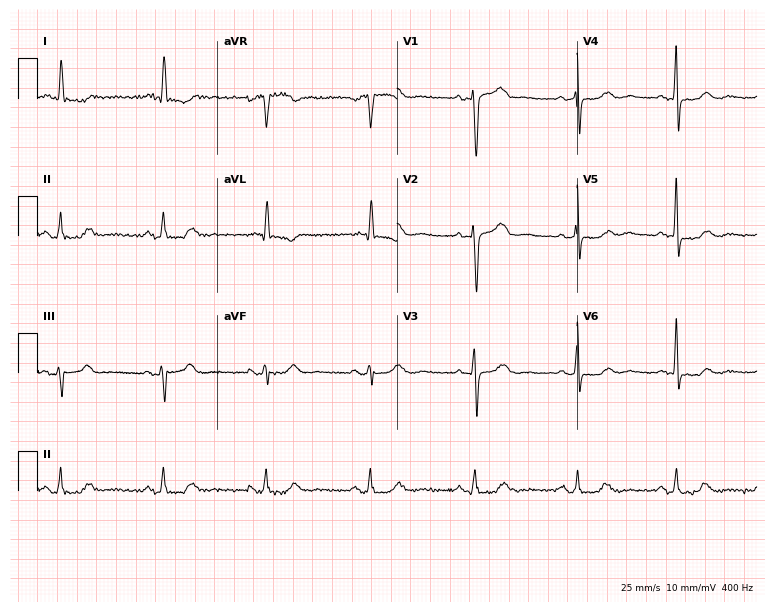
ECG (7.3-second recording at 400 Hz) — a 71-year-old female patient. Screened for six findings — first-degree AV block, right bundle branch block, left bundle branch block, sinus bradycardia, atrial fibrillation, sinus tachycardia — none is recorded.